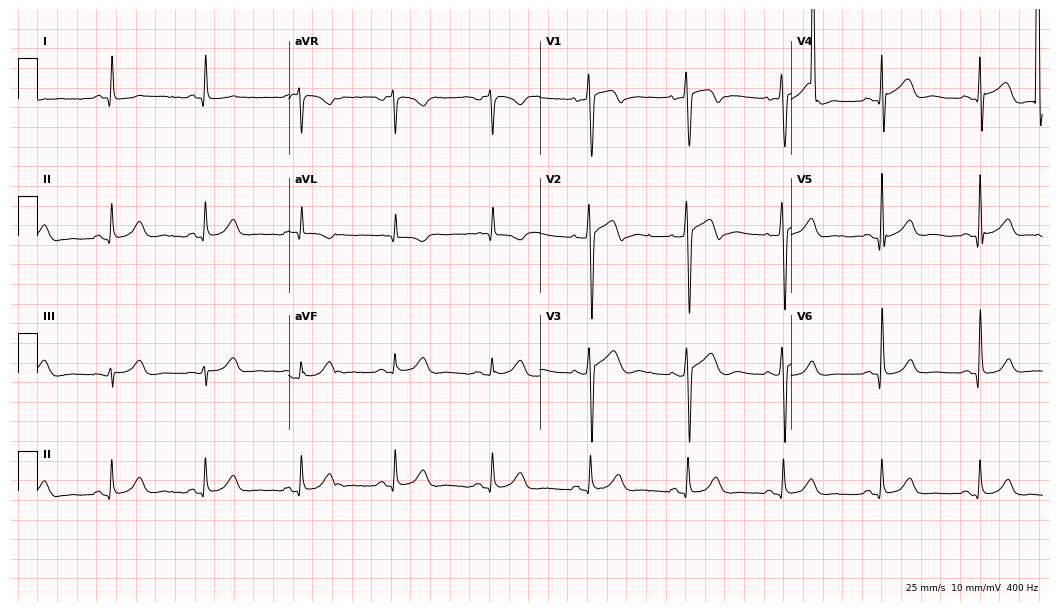
Resting 12-lead electrocardiogram (10.2-second recording at 400 Hz). Patient: a 70-year-old man. None of these six findings is recorded: first-degree AV block, right bundle branch block, left bundle branch block, sinus bradycardia, atrial fibrillation, sinus tachycardia. Findings outside these six are not listed.